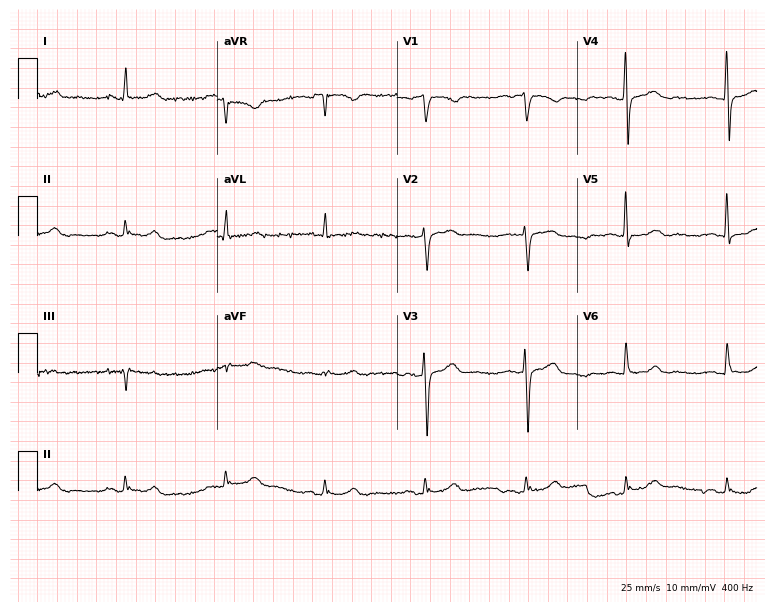
12-lead ECG from a 56-year-old male patient. Recorded interpretation: within normal limits.